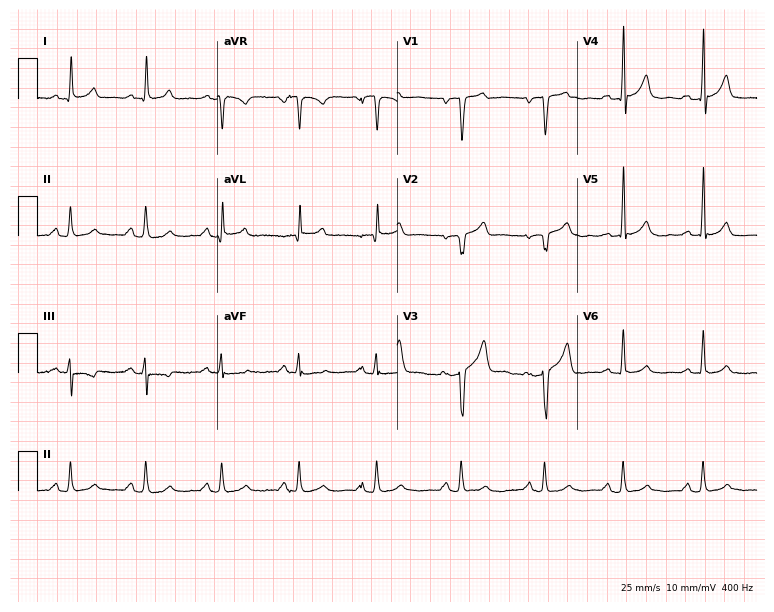
ECG (7.3-second recording at 400 Hz) — a man, 47 years old. Screened for six findings — first-degree AV block, right bundle branch block, left bundle branch block, sinus bradycardia, atrial fibrillation, sinus tachycardia — none is recorded.